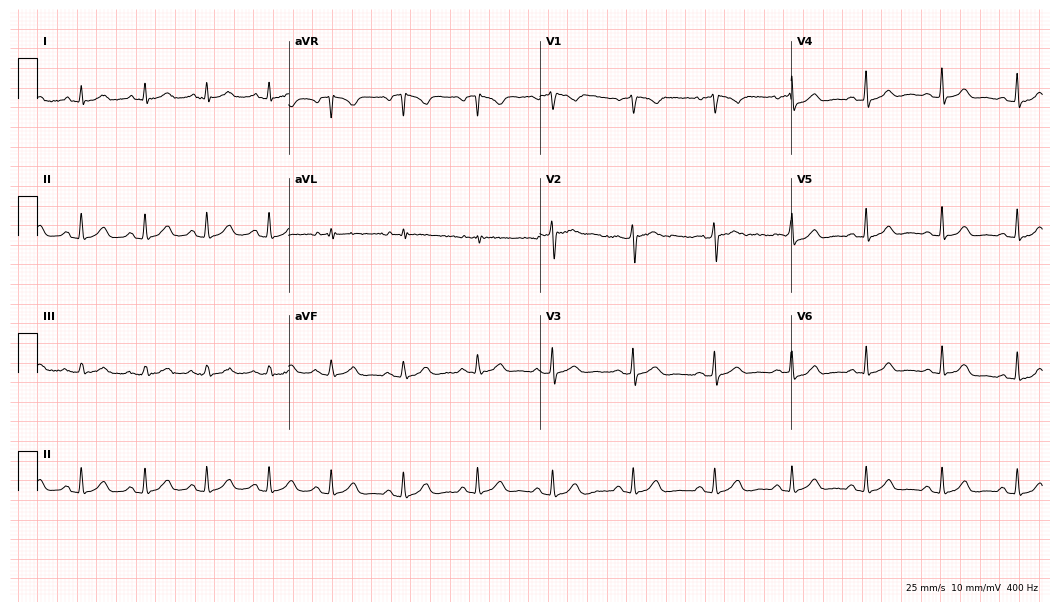
Standard 12-lead ECG recorded from a 46-year-old woman (10.2-second recording at 400 Hz). Read as a normal ECG.